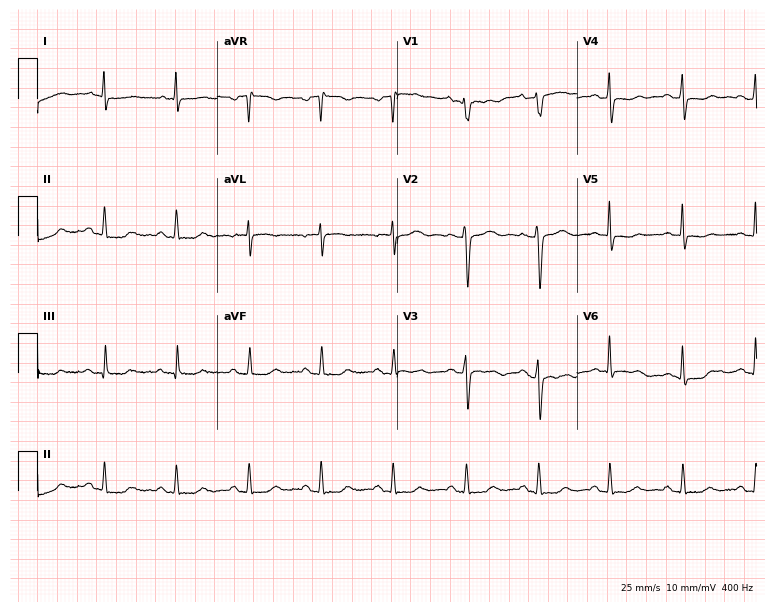
12-lead ECG from a female, 55 years old. Screened for six findings — first-degree AV block, right bundle branch block, left bundle branch block, sinus bradycardia, atrial fibrillation, sinus tachycardia — none is recorded.